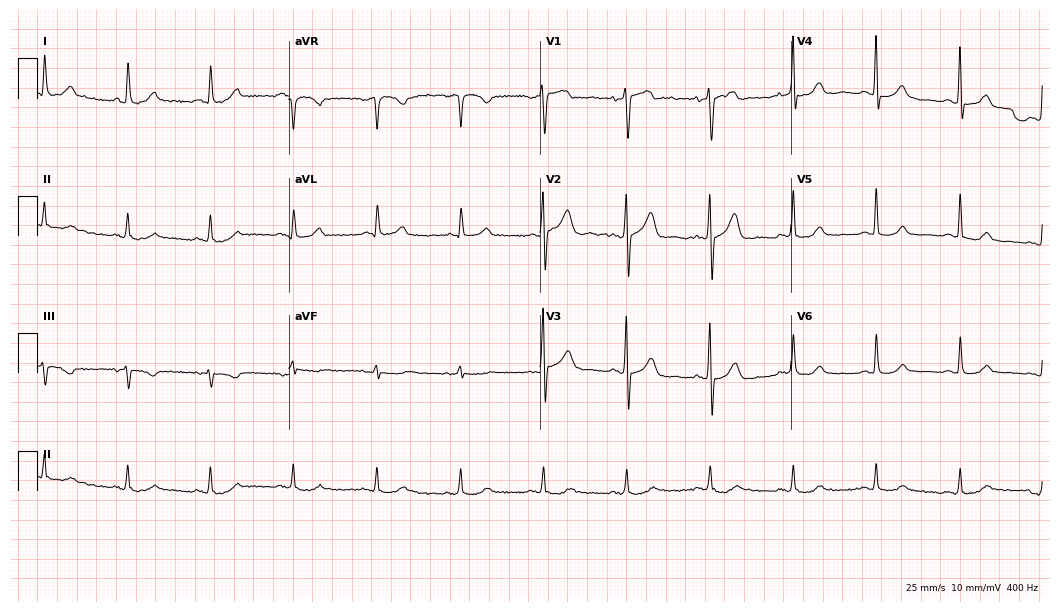
Electrocardiogram (10.2-second recording at 400 Hz), a 70-year-old male. Overall reading on record: normal ECG.